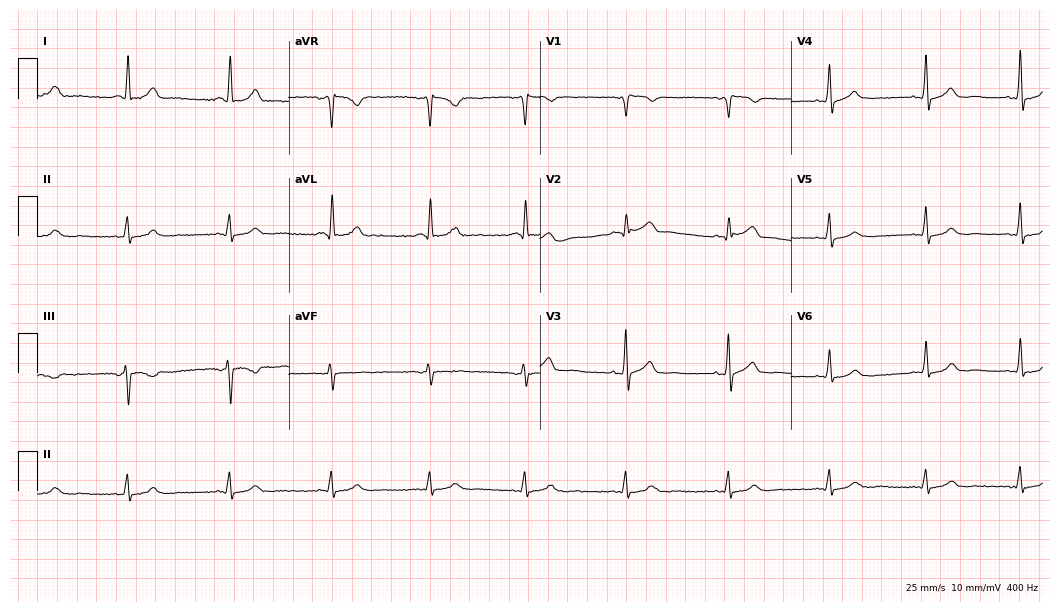
Electrocardiogram, a female, 65 years old. Overall reading on record: normal ECG.